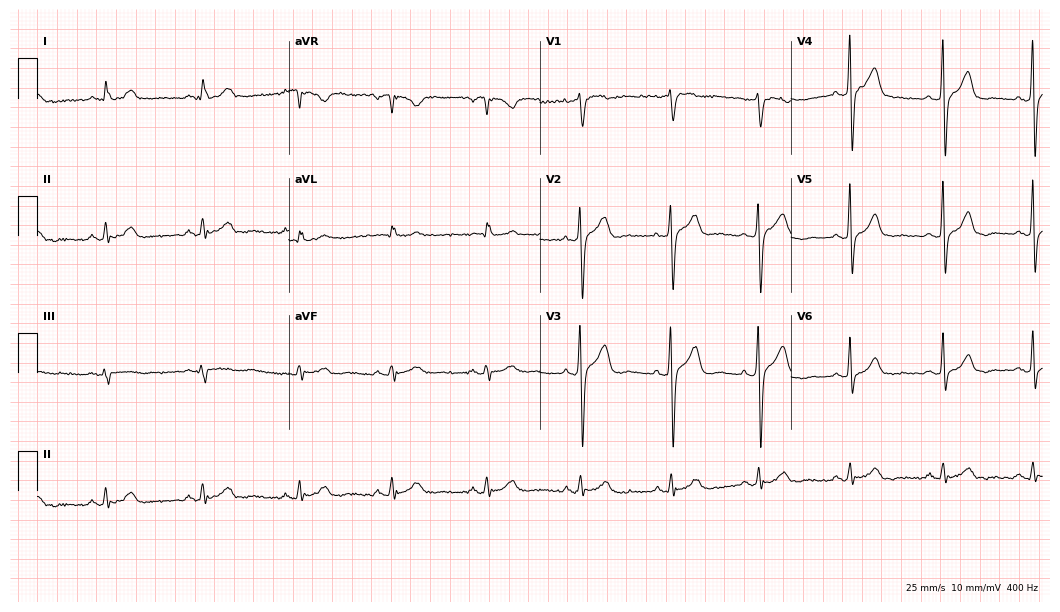
Resting 12-lead electrocardiogram (10.2-second recording at 400 Hz). Patient: a 32-year-old male. None of these six findings is recorded: first-degree AV block, right bundle branch block, left bundle branch block, sinus bradycardia, atrial fibrillation, sinus tachycardia. Findings outside these six are not listed.